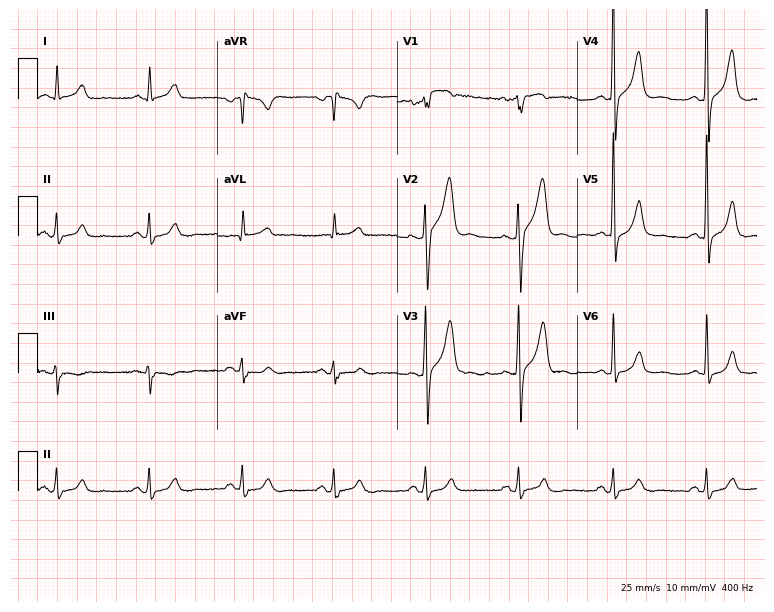
ECG — a 55-year-old man. Screened for six findings — first-degree AV block, right bundle branch block (RBBB), left bundle branch block (LBBB), sinus bradycardia, atrial fibrillation (AF), sinus tachycardia — none is recorded. Only these six findings were labelled.